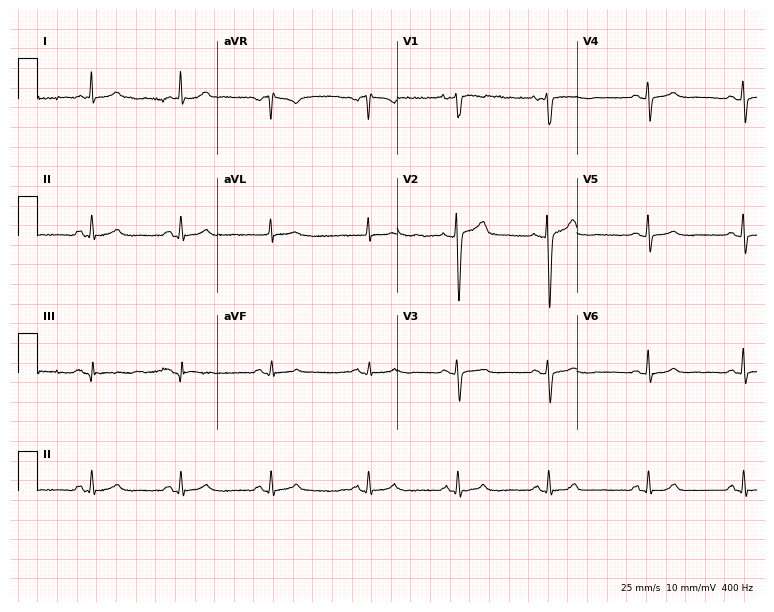
Standard 12-lead ECG recorded from a female, 41 years old. Read as a normal ECG.